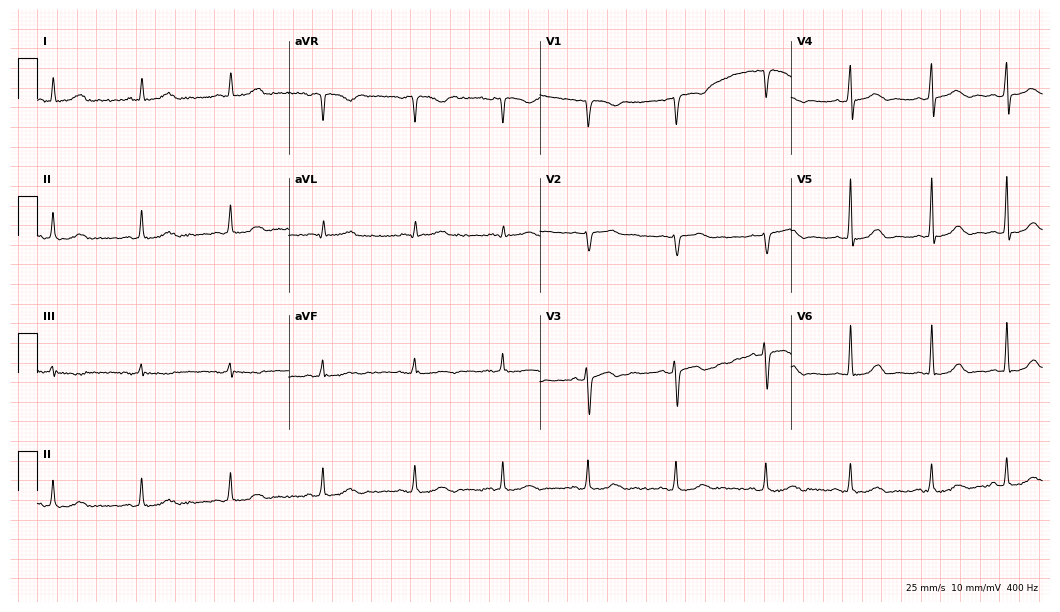
Resting 12-lead electrocardiogram (10.2-second recording at 400 Hz). Patient: a female, 31 years old. Read as a normal ECG.